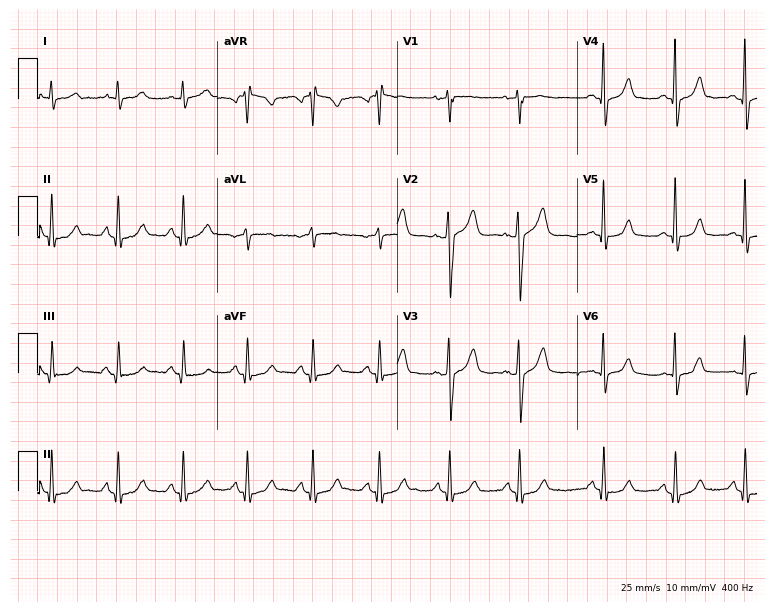
Standard 12-lead ECG recorded from a 43-year-old female (7.3-second recording at 400 Hz). Read as a normal ECG.